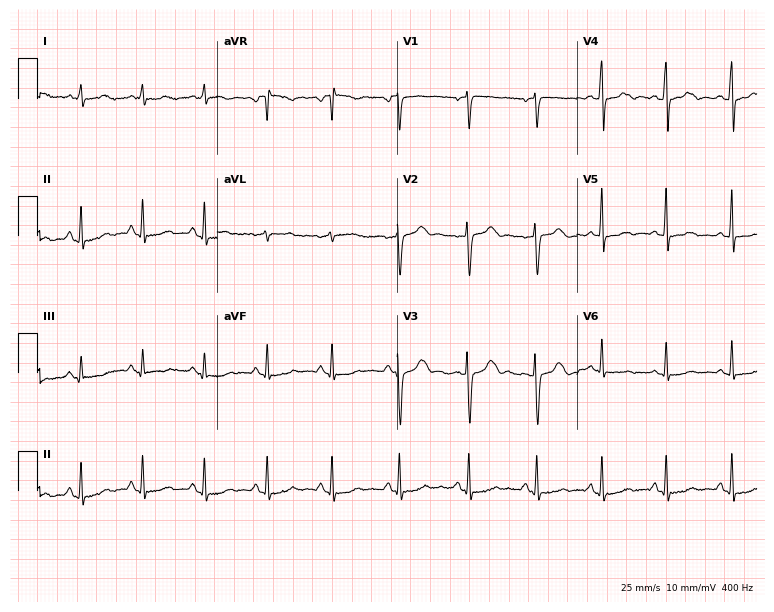
Standard 12-lead ECG recorded from a 26-year-old female patient. None of these six findings is recorded: first-degree AV block, right bundle branch block, left bundle branch block, sinus bradycardia, atrial fibrillation, sinus tachycardia.